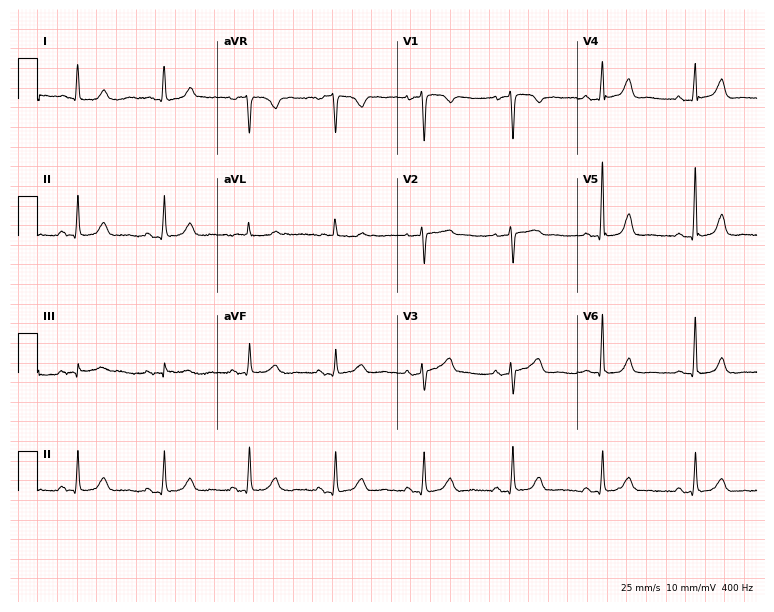
Standard 12-lead ECG recorded from a 74-year-old female. Read as a normal ECG.